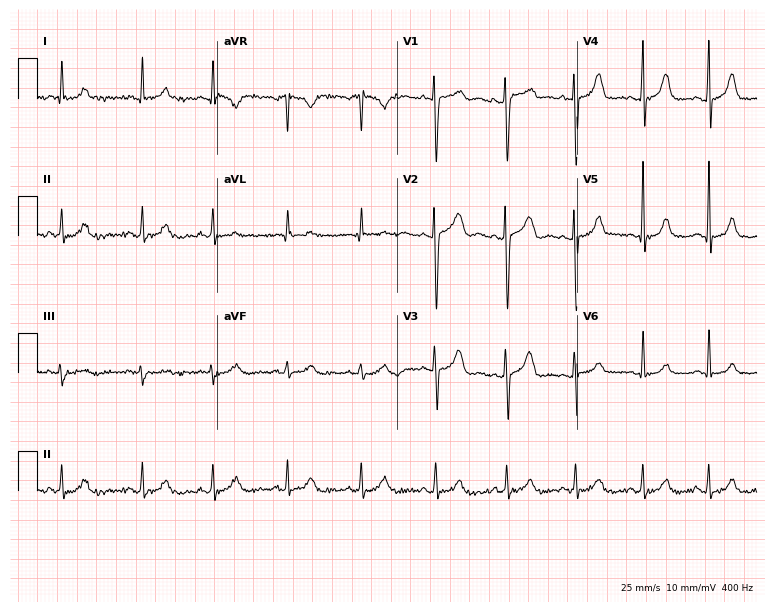
Resting 12-lead electrocardiogram (7.3-second recording at 400 Hz). Patient: a female, 29 years old. Read as a normal ECG.